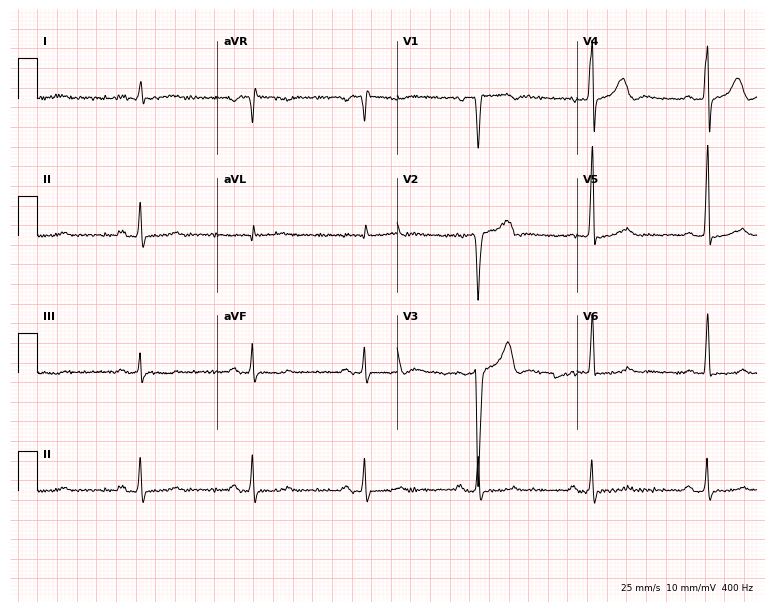
12-lead ECG from a male patient, 62 years old. Recorded interpretation: within normal limits.